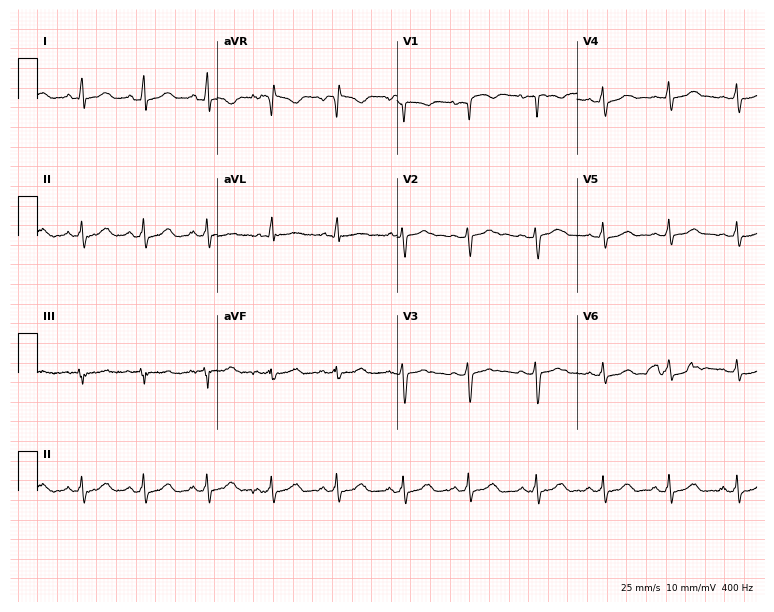
Resting 12-lead electrocardiogram. Patient: a woman, 24 years old. None of these six findings is recorded: first-degree AV block, right bundle branch block, left bundle branch block, sinus bradycardia, atrial fibrillation, sinus tachycardia.